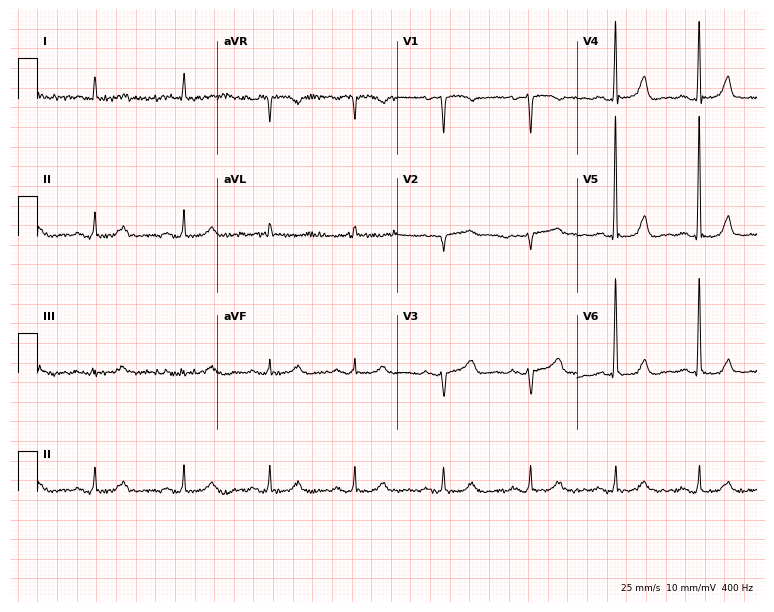
12-lead ECG from a woman, 79 years old. Labelled as a normal ECG.